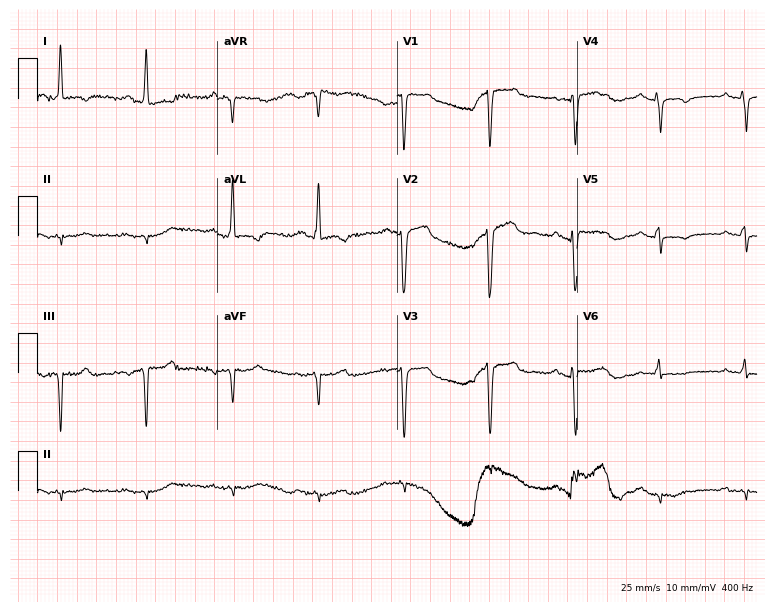
Resting 12-lead electrocardiogram (7.3-second recording at 400 Hz). Patient: a male, 75 years old. None of these six findings is recorded: first-degree AV block, right bundle branch block, left bundle branch block, sinus bradycardia, atrial fibrillation, sinus tachycardia. Findings outside these six are not listed.